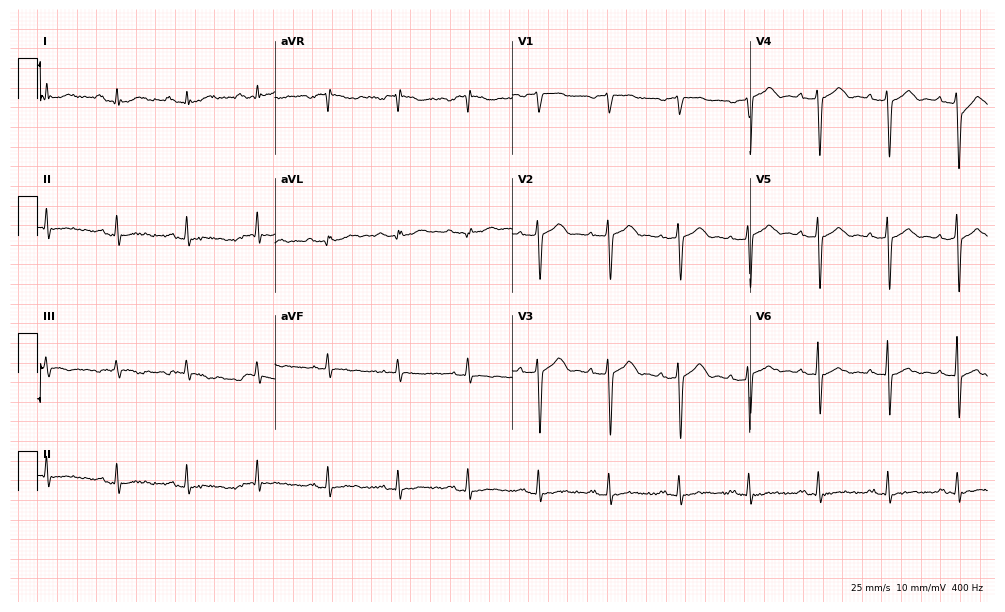
Resting 12-lead electrocardiogram (9.7-second recording at 400 Hz). Patient: a man, 78 years old. None of these six findings is recorded: first-degree AV block, right bundle branch block, left bundle branch block, sinus bradycardia, atrial fibrillation, sinus tachycardia.